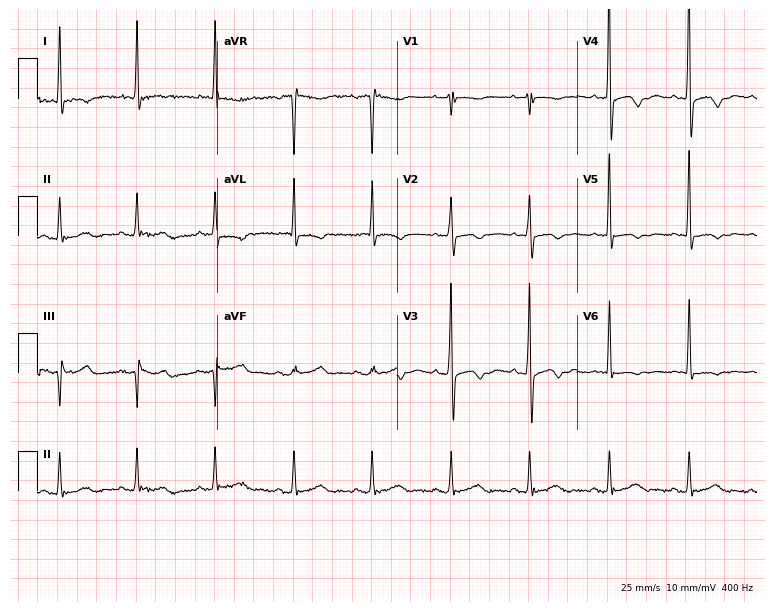
Electrocardiogram (7.3-second recording at 400 Hz), a 73-year-old woman. Of the six screened findings (first-degree AV block, right bundle branch block, left bundle branch block, sinus bradycardia, atrial fibrillation, sinus tachycardia), none is recorded.